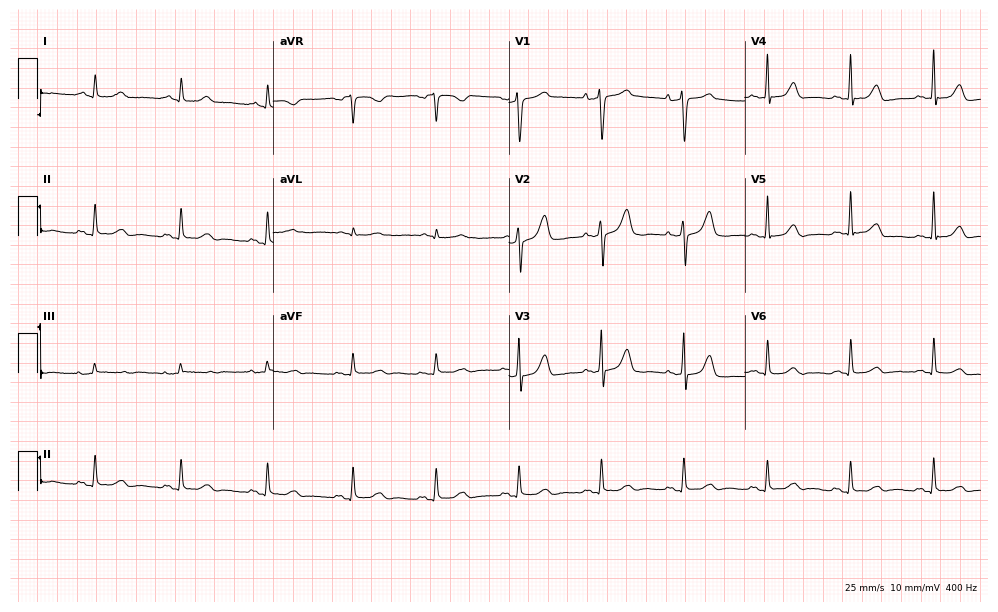
Resting 12-lead electrocardiogram (9.6-second recording at 400 Hz). Patient: a 65-year-old male. Read as a normal ECG.